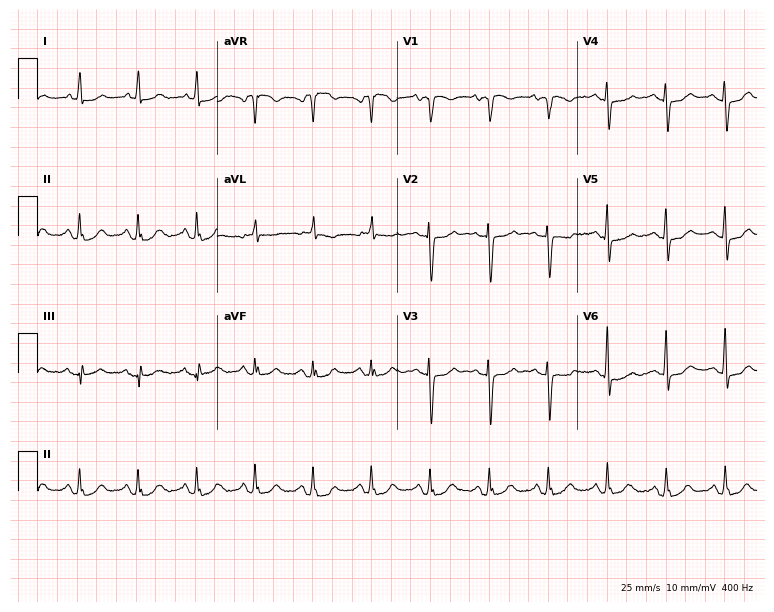
12-lead ECG (7.3-second recording at 400 Hz) from a female patient, 83 years old. Labelled as a normal ECG.